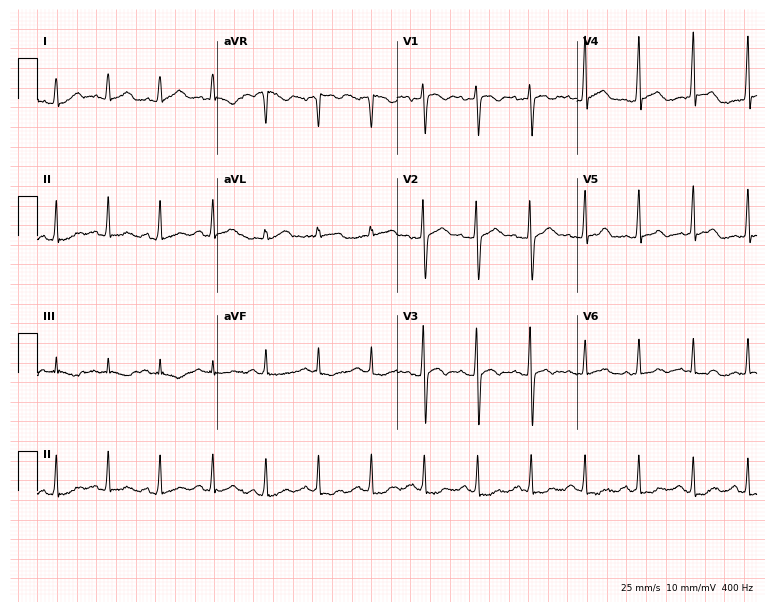
ECG (7.3-second recording at 400 Hz) — a 17-year-old female. Findings include sinus tachycardia (a sinus rate of 100 beats per minute or more).